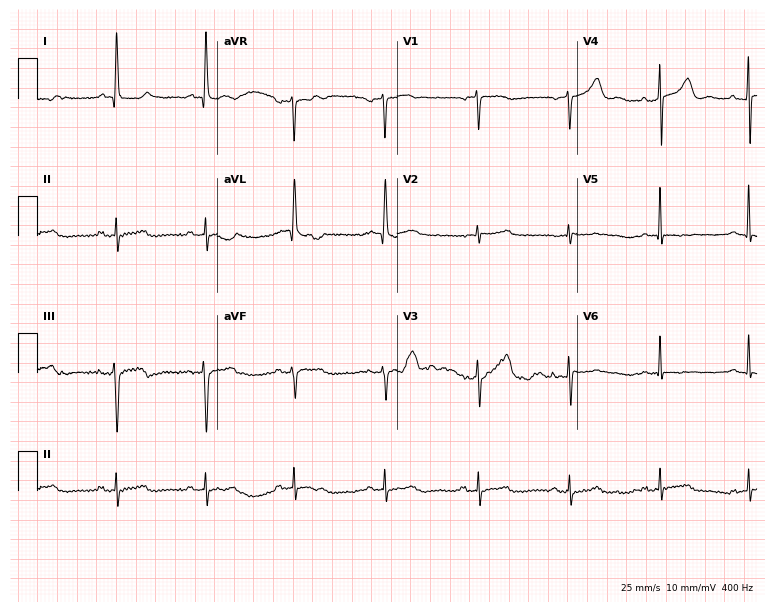
Standard 12-lead ECG recorded from a 77-year-old male patient. None of these six findings is recorded: first-degree AV block, right bundle branch block (RBBB), left bundle branch block (LBBB), sinus bradycardia, atrial fibrillation (AF), sinus tachycardia.